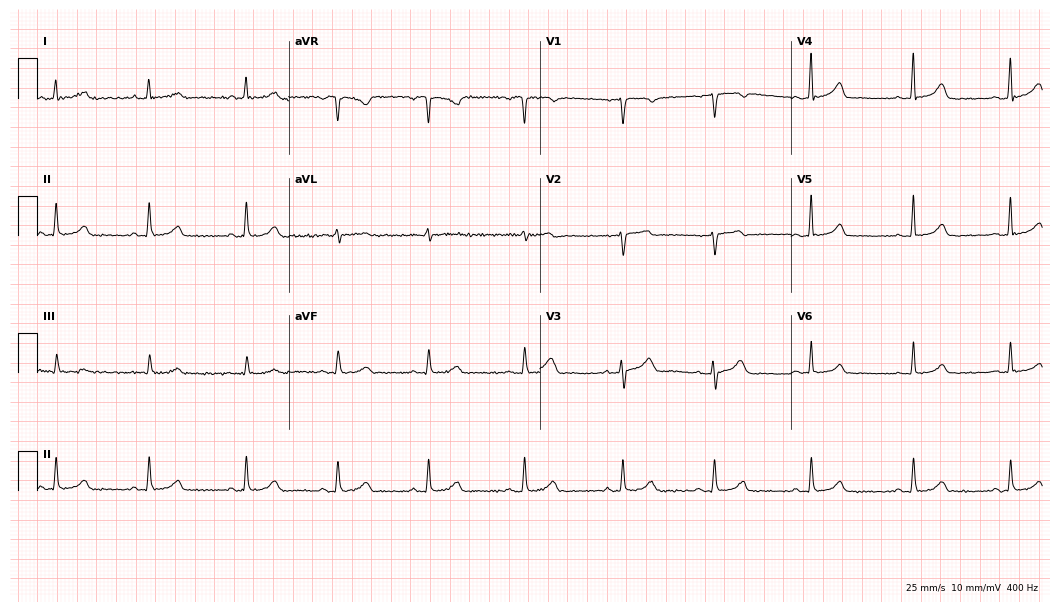
Standard 12-lead ECG recorded from a female, 62 years old (10.2-second recording at 400 Hz). Read as a normal ECG.